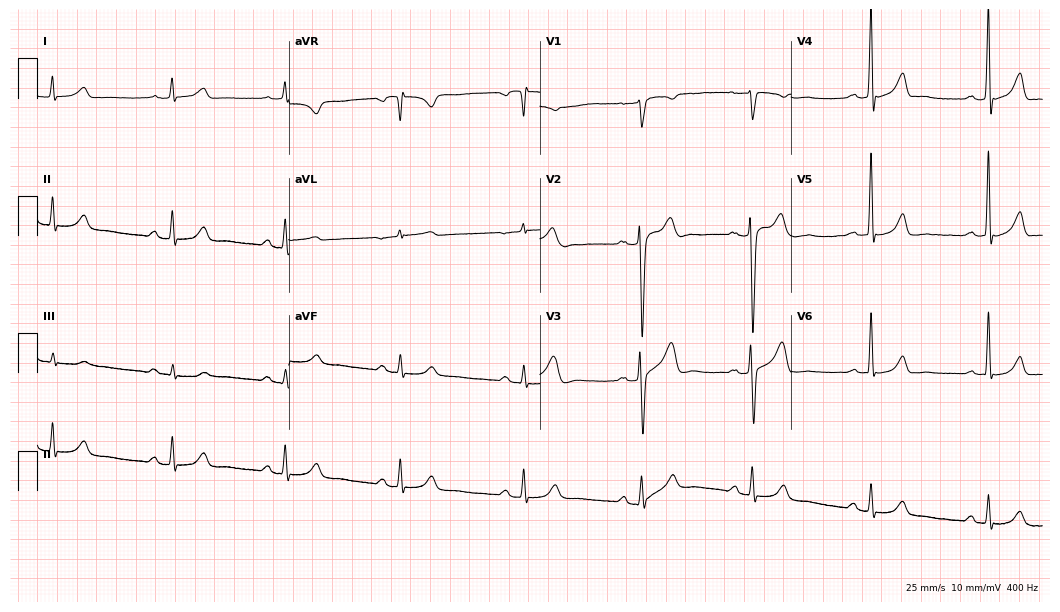
12-lead ECG from a male patient, 67 years old (10.2-second recording at 400 Hz). Shows sinus bradycardia (a sinus rate of 50 beats per minute or less).